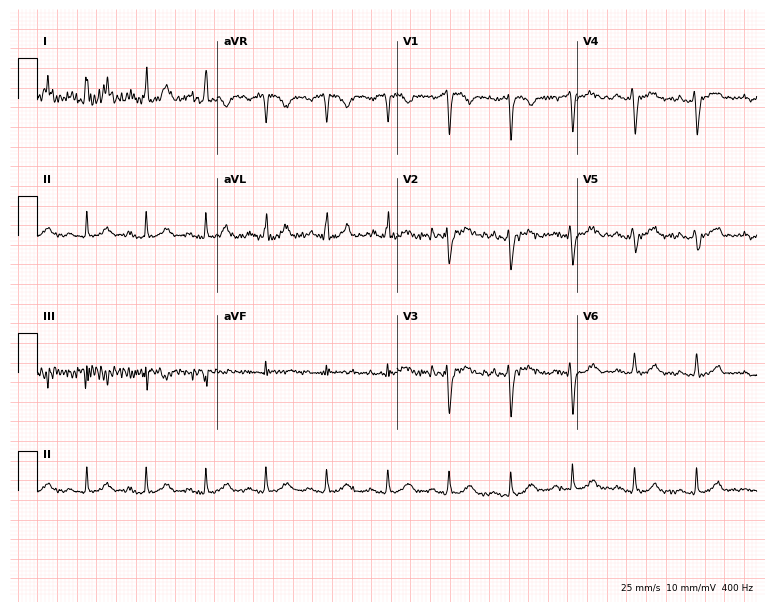
Standard 12-lead ECG recorded from a 25-year-old male. None of these six findings is recorded: first-degree AV block, right bundle branch block, left bundle branch block, sinus bradycardia, atrial fibrillation, sinus tachycardia.